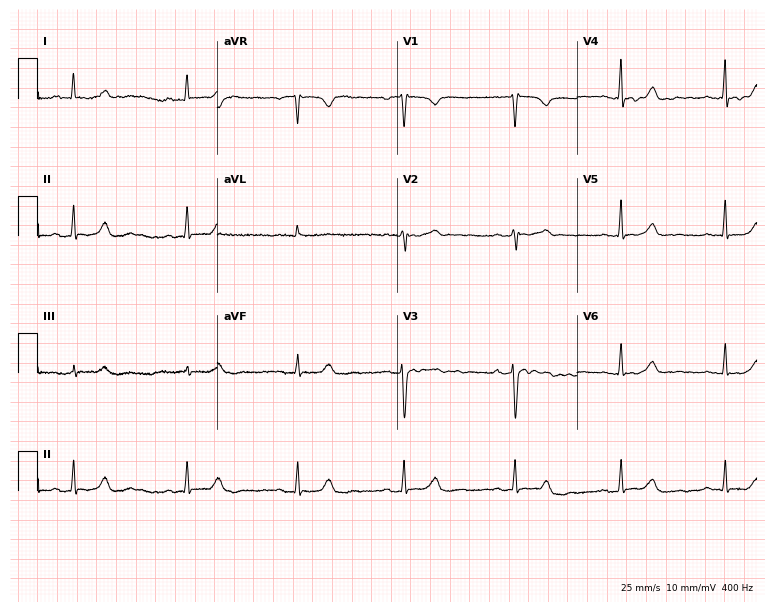
Electrocardiogram, a 46-year-old woman. Overall reading on record: normal ECG.